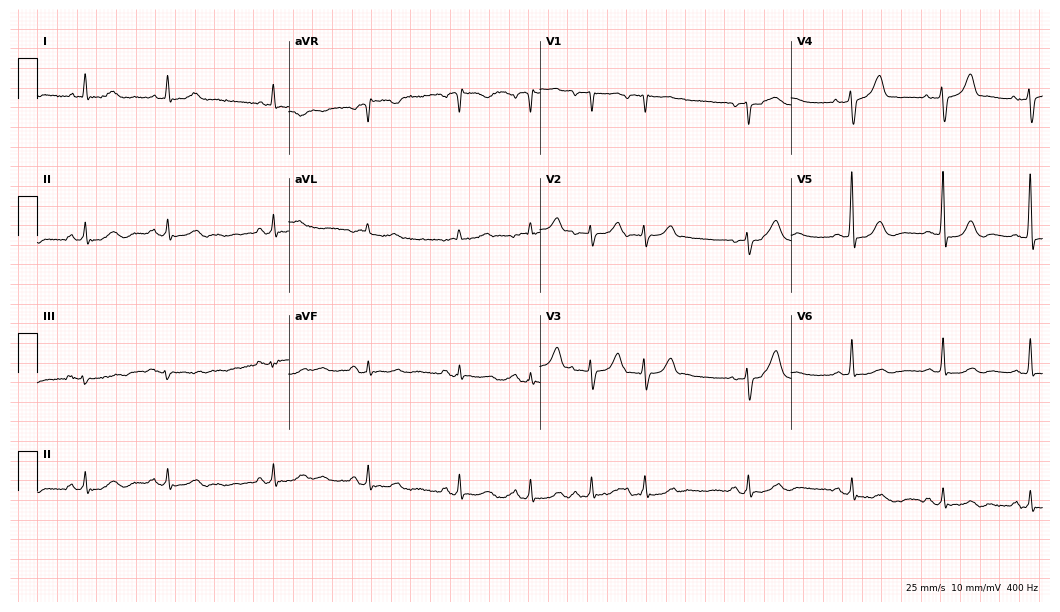
Standard 12-lead ECG recorded from a female, 68 years old (10.2-second recording at 400 Hz). None of these six findings is recorded: first-degree AV block, right bundle branch block (RBBB), left bundle branch block (LBBB), sinus bradycardia, atrial fibrillation (AF), sinus tachycardia. Only these six findings were labelled.